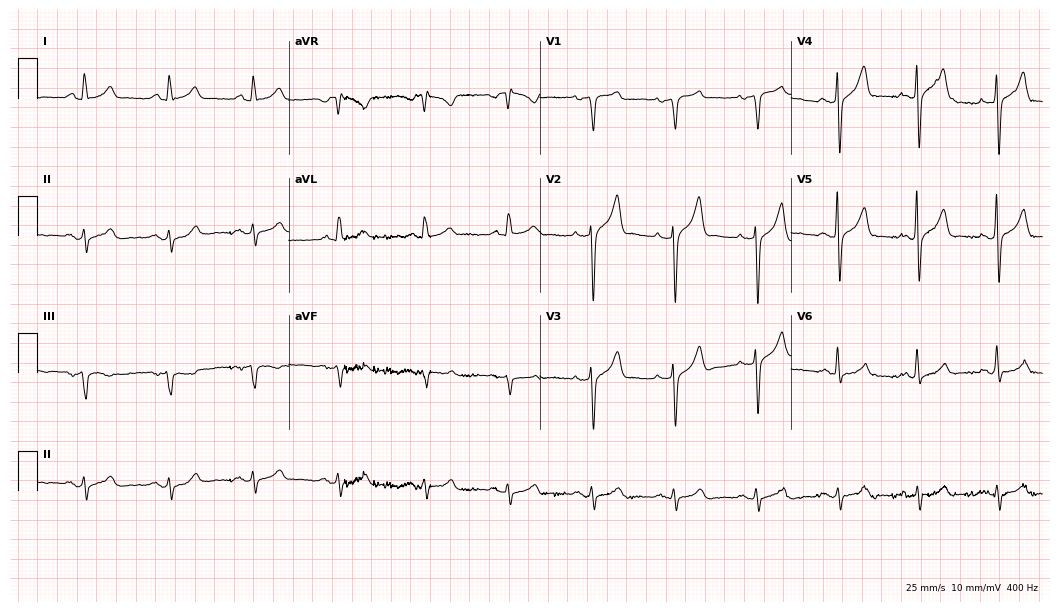
ECG — a 55-year-old male patient. Screened for six findings — first-degree AV block, right bundle branch block (RBBB), left bundle branch block (LBBB), sinus bradycardia, atrial fibrillation (AF), sinus tachycardia — none is recorded.